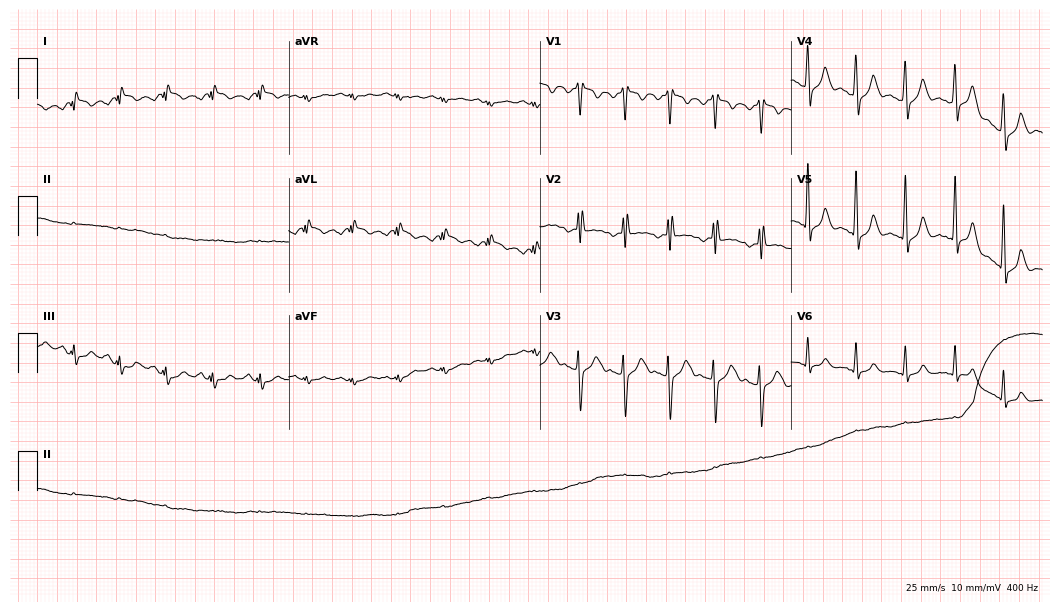
Resting 12-lead electrocardiogram. Patient: a 30-year-old woman. The tracing shows sinus tachycardia (a sinus rate of 100 beats per minute or more).